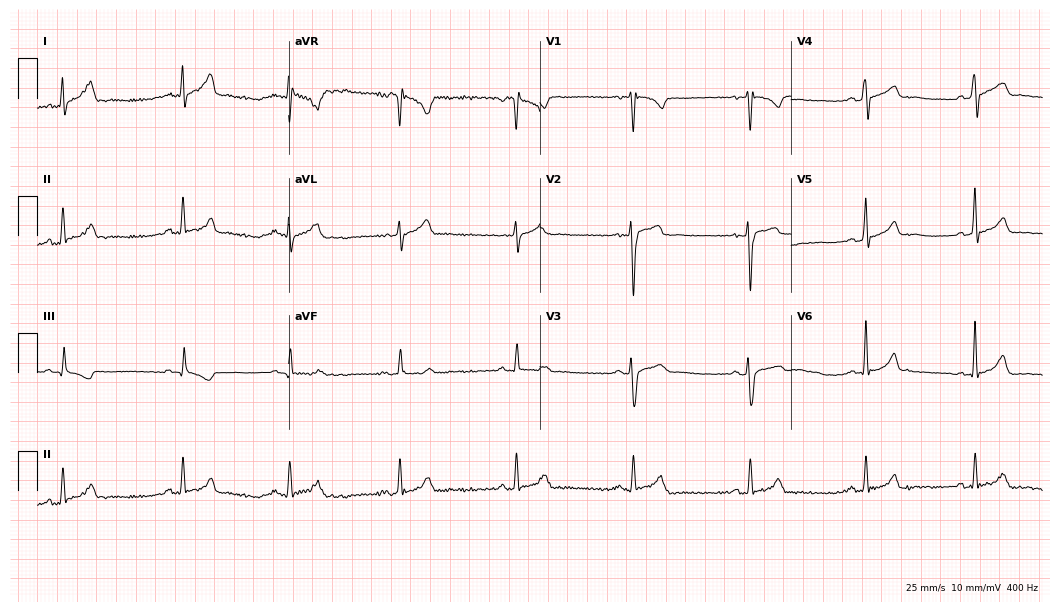
Resting 12-lead electrocardiogram. Patient: a 27-year-old man. Read as a normal ECG.